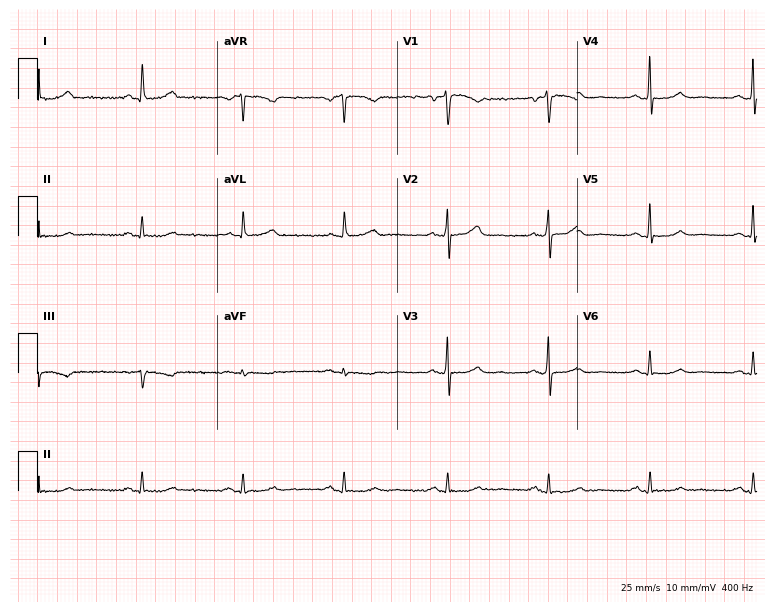
Standard 12-lead ECG recorded from a female patient, 67 years old. None of these six findings is recorded: first-degree AV block, right bundle branch block, left bundle branch block, sinus bradycardia, atrial fibrillation, sinus tachycardia.